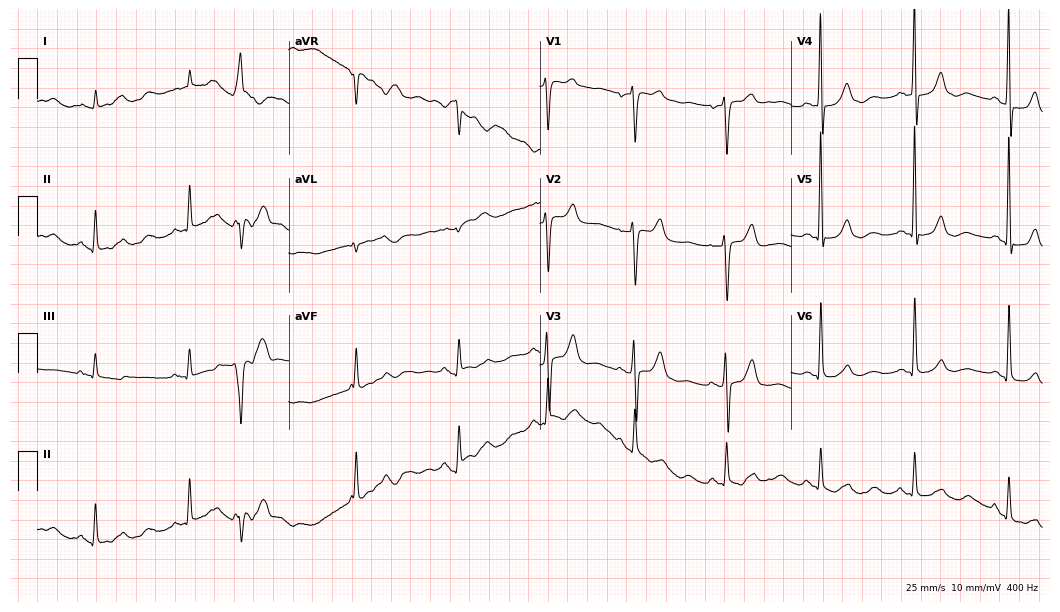
12-lead ECG from a 61-year-old man (10.2-second recording at 400 Hz). No first-degree AV block, right bundle branch block, left bundle branch block, sinus bradycardia, atrial fibrillation or sinus tachycardia recorded for this tracing. Only these six findings were labelled.